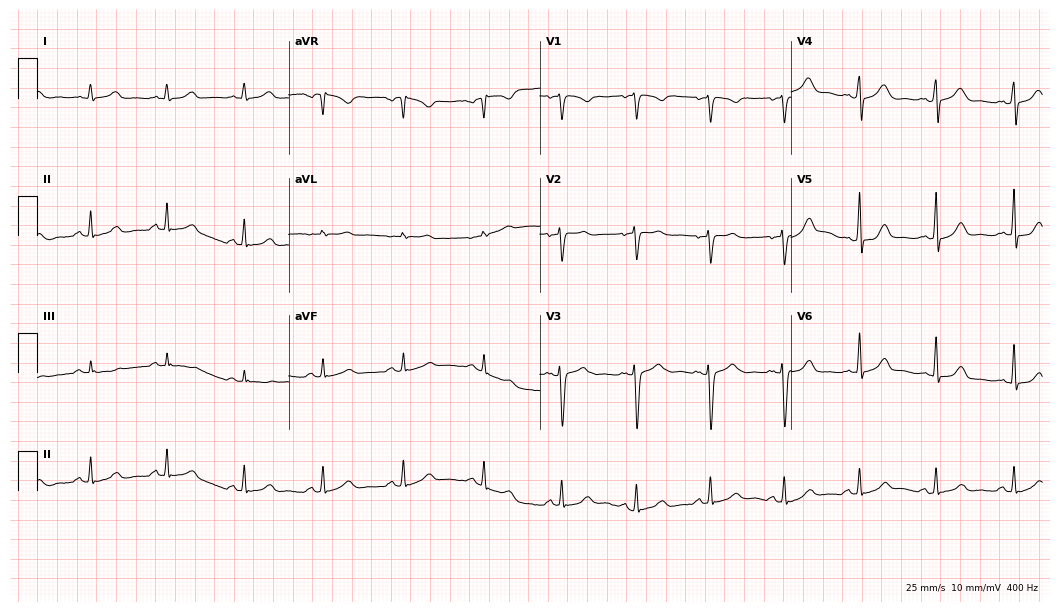
Electrocardiogram (10.2-second recording at 400 Hz), a 24-year-old female patient. Overall reading on record: normal ECG.